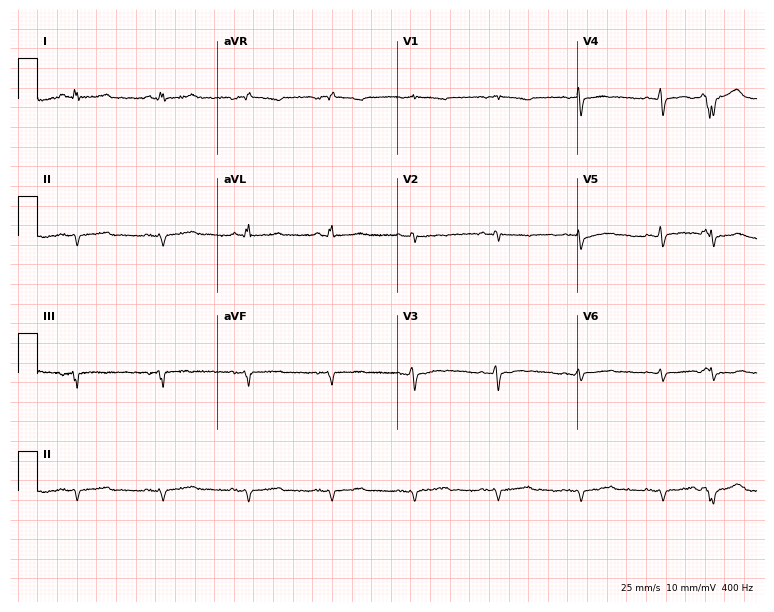
Resting 12-lead electrocardiogram (7.3-second recording at 400 Hz). Patient: a female, 52 years old. None of these six findings is recorded: first-degree AV block, right bundle branch block (RBBB), left bundle branch block (LBBB), sinus bradycardia, atrial fibrillation (AF), sinus tachycardia.